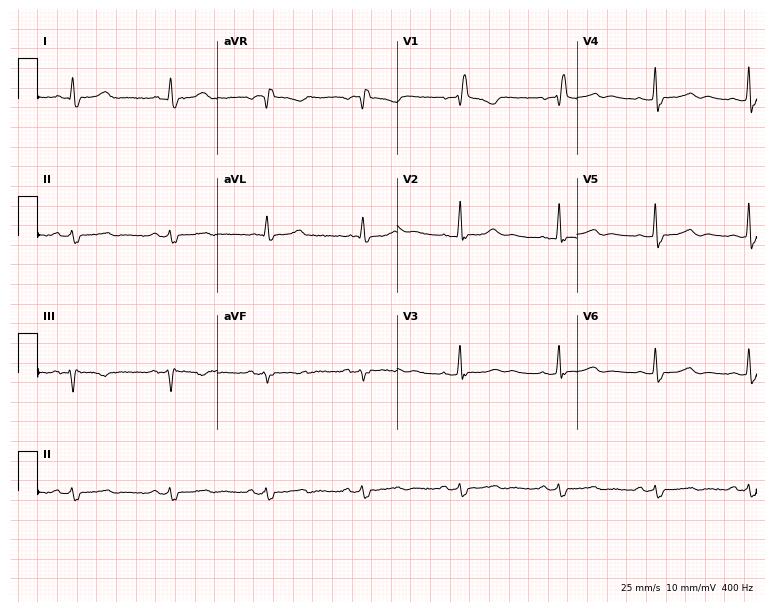
Electrocardiogram, a 56-year-old female patient. Interpretation includes right bundle branch block.